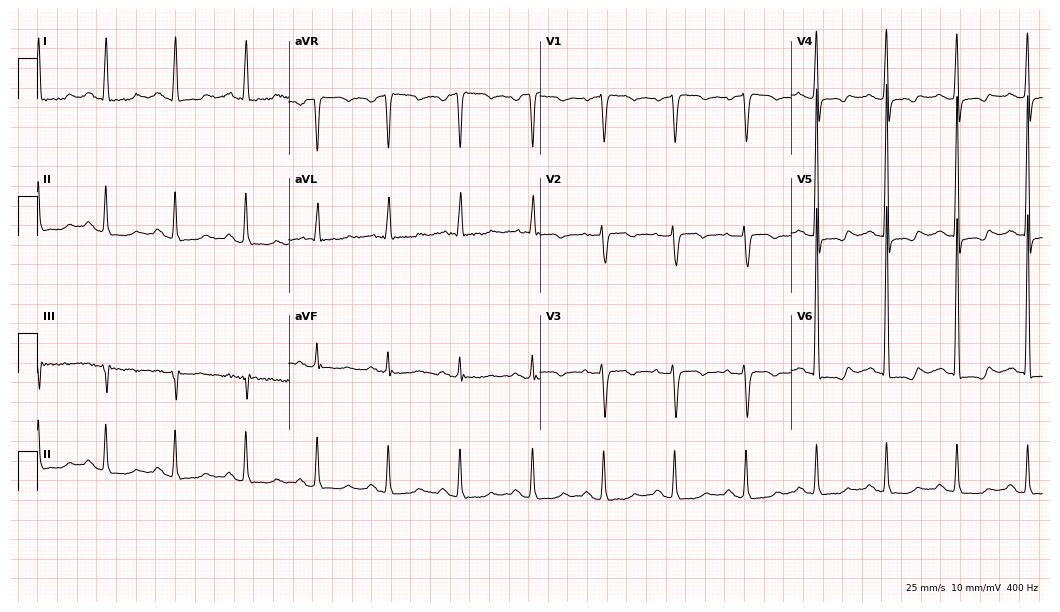
Electrocardiogram (10.2-second recording at 400 Hz), a female, 70 years old. Of the six screened findings (first-degree AV block, right bundle branch block, left bundle branch block, sinus bradycardia, atrial fibrillation, sinus tachycardia), none is recorded.